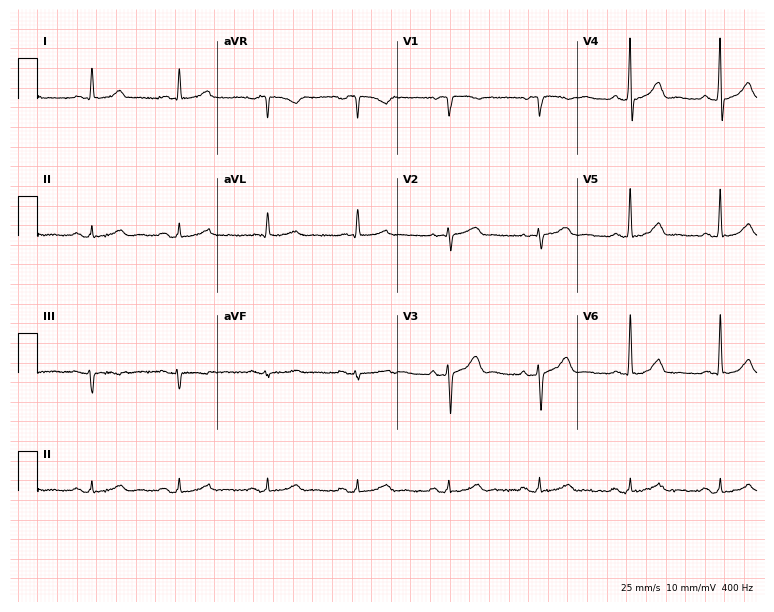
12-lead ECG (7.3-second recording at 400 Hz) from a 75-year-old male patient. Labelled as a normal ECG.